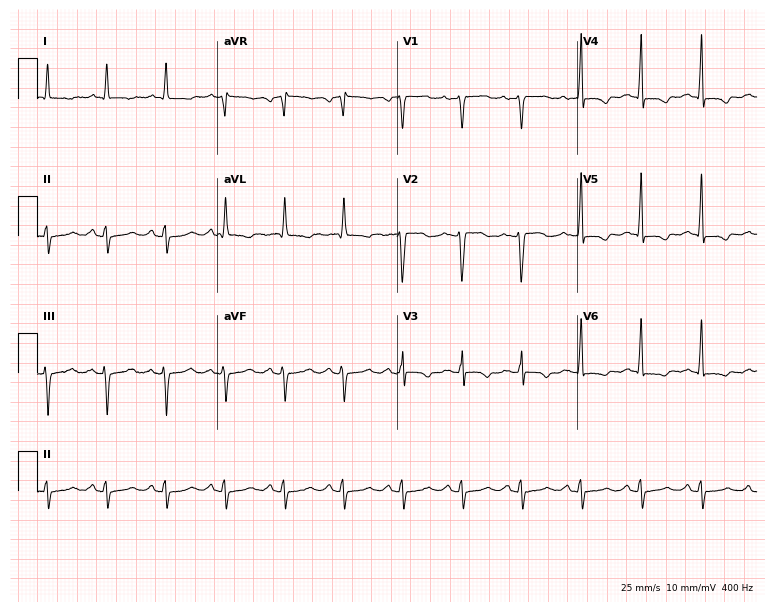
ECG (7.3-second recording at 400 Hz) — a female, 70 years old. Screened for six findings — first-degree AV block, right bundle branch block, left bundle branch block, sinus bradycardia, atrial fibrillation, sinus tachycardia — none is recorded. Only these six findings were labelled.